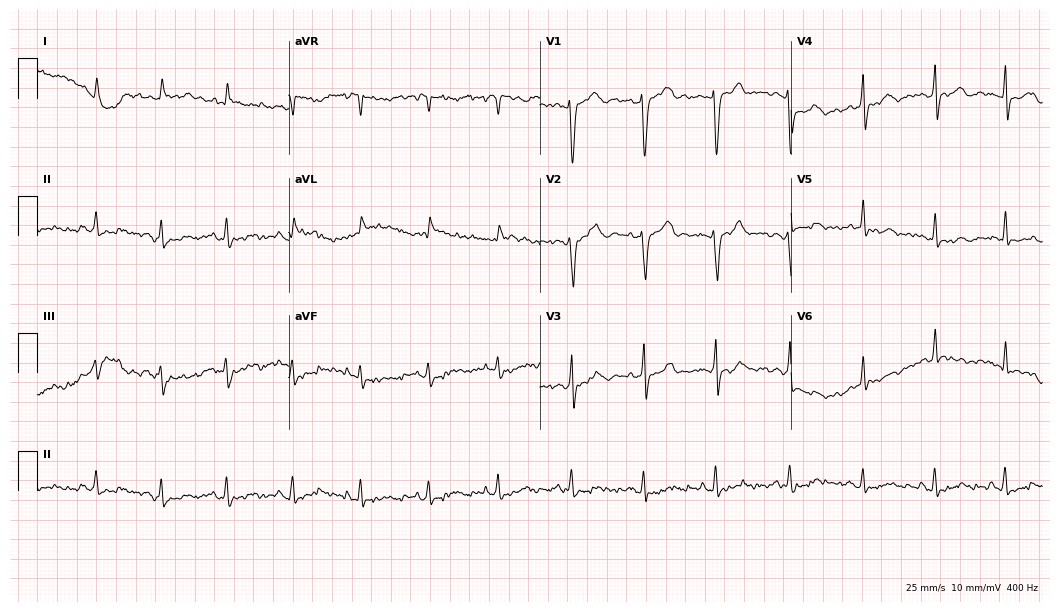
12-lead ECG (10.2-second recording at 400 Hz) from a female patient, 62 years old. Screened for six findings — first-degree AV block, right bundle branch block, left bundle branch block, sinus bradycardia, atrial fibrillation, sinus tachycardia — none is recorded. Other findings, if any, are not listed.